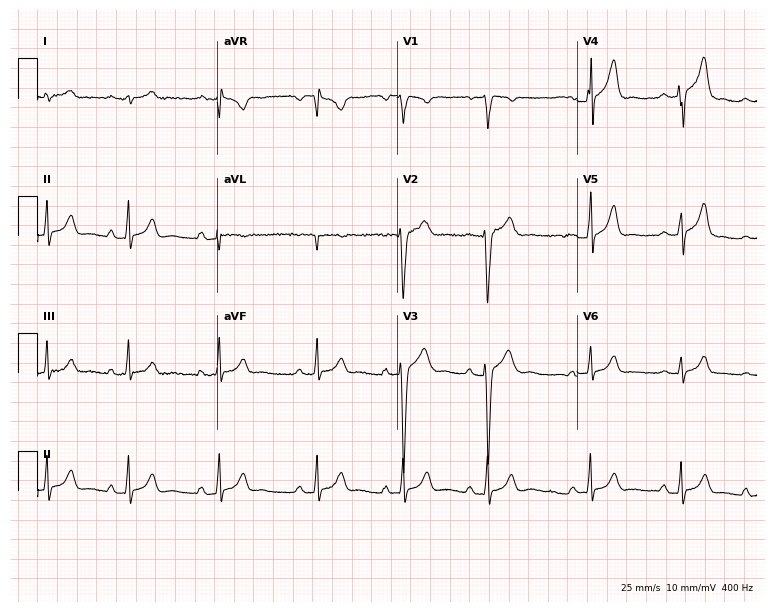
Electrocardiogram, a 19-year-old male. Overall reading on record: normal ECG.